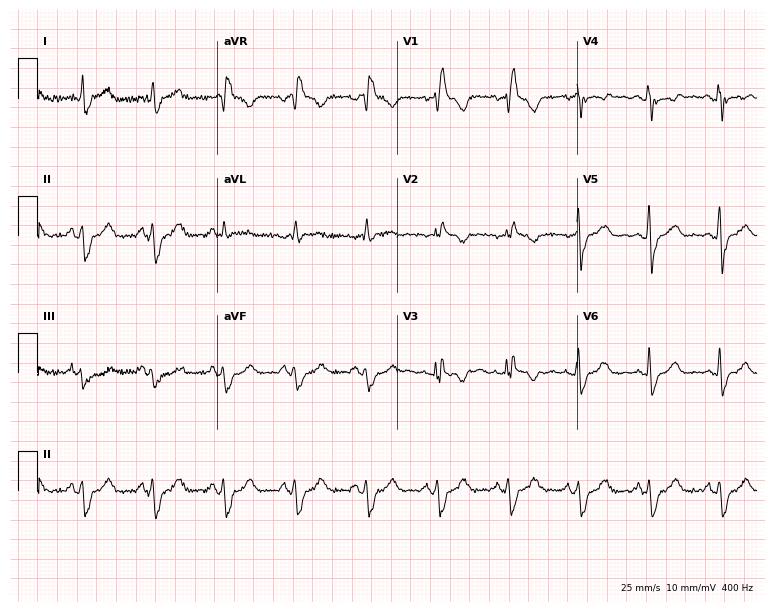
Electrocardiogram (7.3-second recording at 400 Hz), a female, 41 years old. Interpretation includes right bundle branch block.